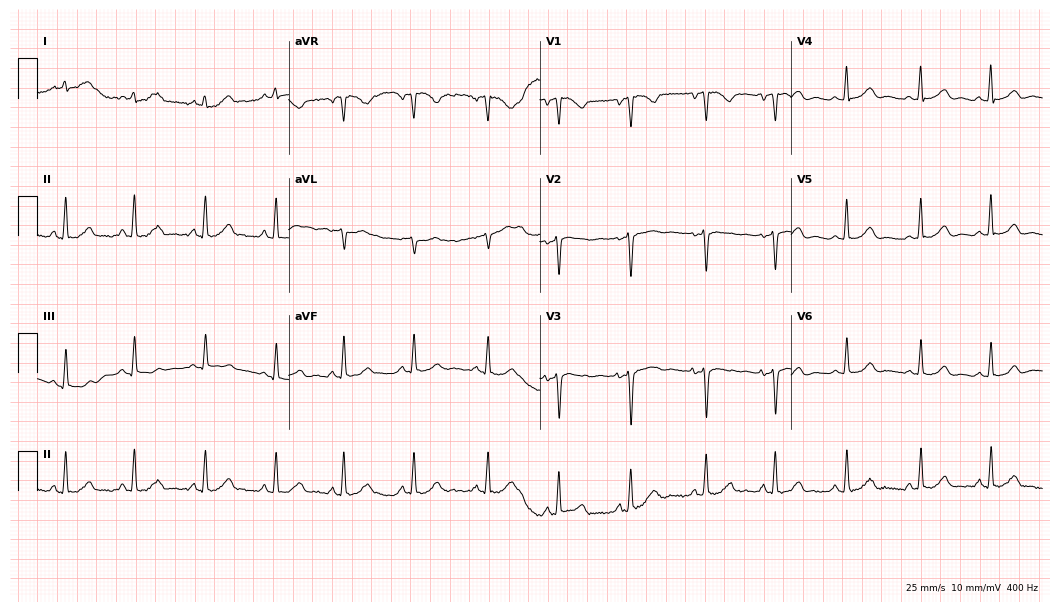
12-lead ECG (10.2-second recording at 400 Hz) from a 23-year-old female patient. Screened for six findings — first-degree AV block, right bundle branch block (RBBB), left bundle branch block (LBBB), sinus bradycardia, atrial fibrillation (AF), sinus tachycardia — none is recorded.